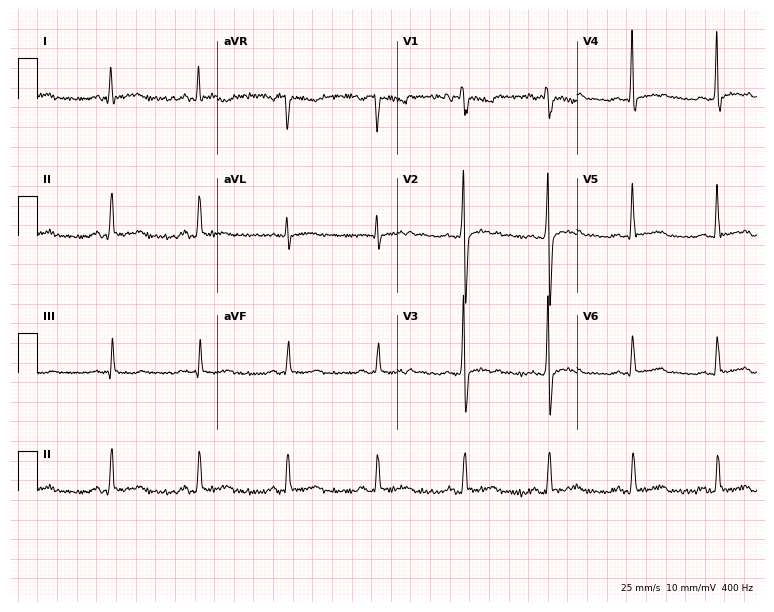
Standard 12-lead ECG recorded from a male patient, 47 years old. None of these six findings is recorded: first-degree AV block, right bundle branch block (RBBB), left bundle branch block (LBBB), sinus bradycardia, atrial fibrillation (AF), sinus tachycardia.